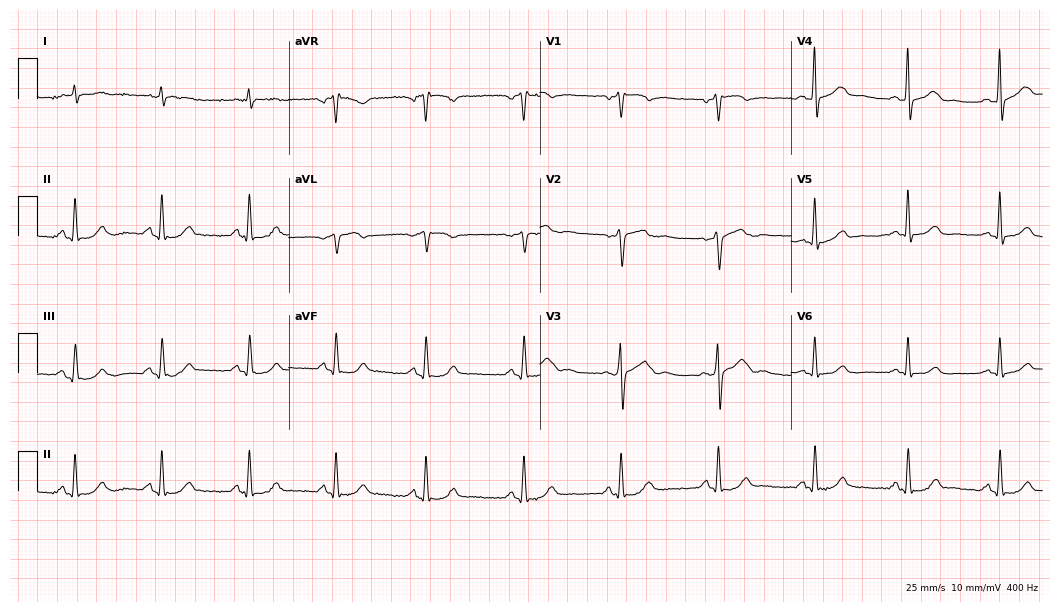
Standard 12-lead ECG recorded from a 64-year-old male (10.2-second recording at 400 Hz). Read as a normal ECG.